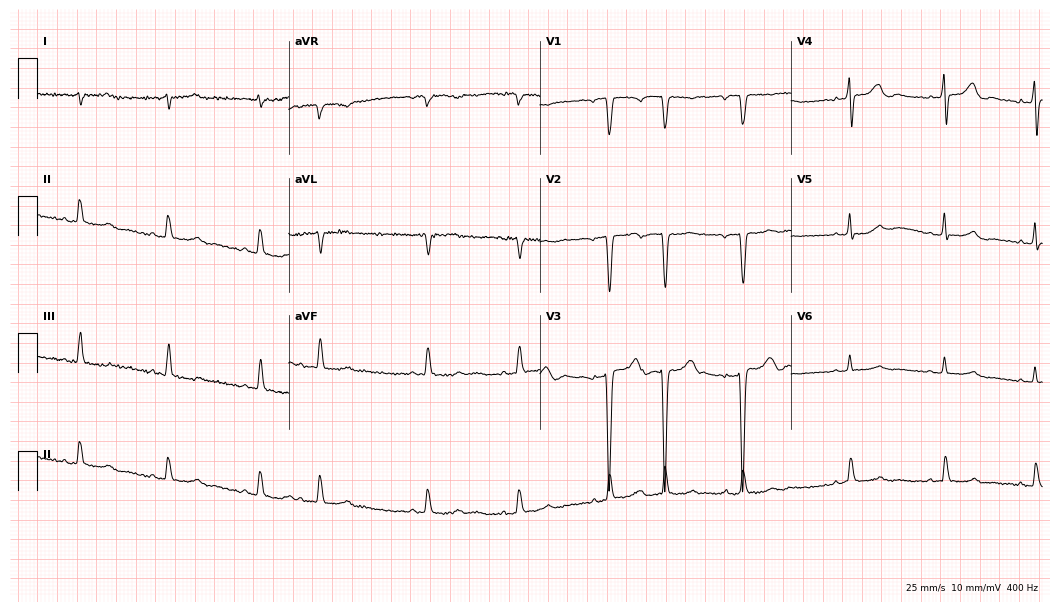
Standard 12-lead ECG recorded from a 79-year-old male (10.2-second recording at 400 Hz). None of these six findings is recorded: first-degree AV block, right bundle branch block, left bundle branch block, sinus bradycardia, atrial fibrillation, sinus tachycardia.